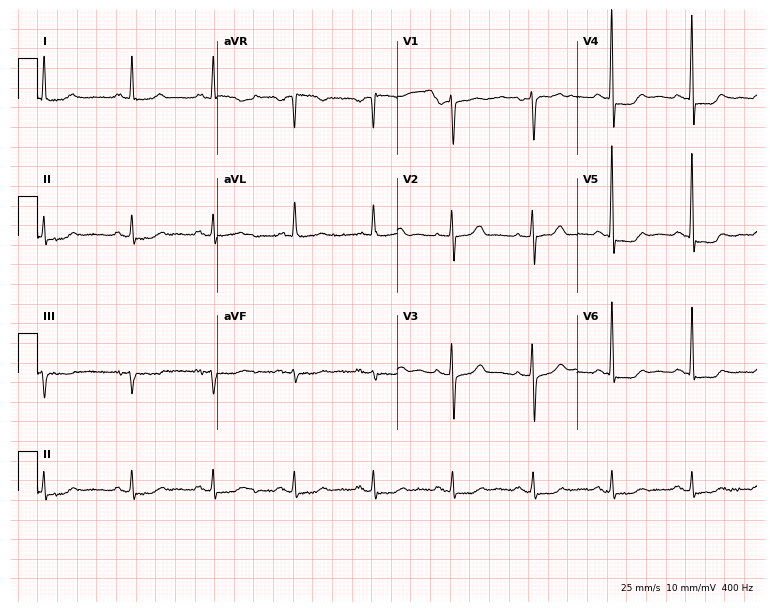
Electrocardiogram, a 66-year-old female. Of the six screened findings (first-degree AV block, right bundle branch block (RBBB), left bundle branch block (LBBB), sinus bradycardia, atrial fibrillation (AF), sinus tachycardia), none is recorded. Findings outside these six are not listed.